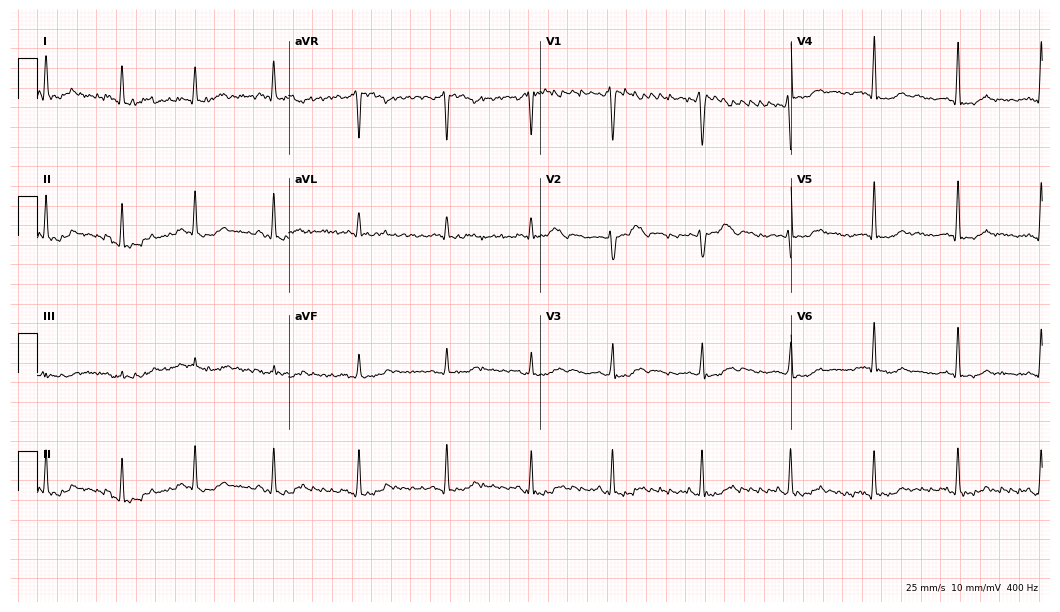
Resting 12-lead electrocardiogram. Patient: a 37-year-old woman. None of these six findings is recorded: first-degree AV block, right bundle branch block (RBBB), left bundle branch block (LBBB), sinus bradycardia, atrial fibrillation (AF), sinus tachycardia. Findings outside these six are not listed.